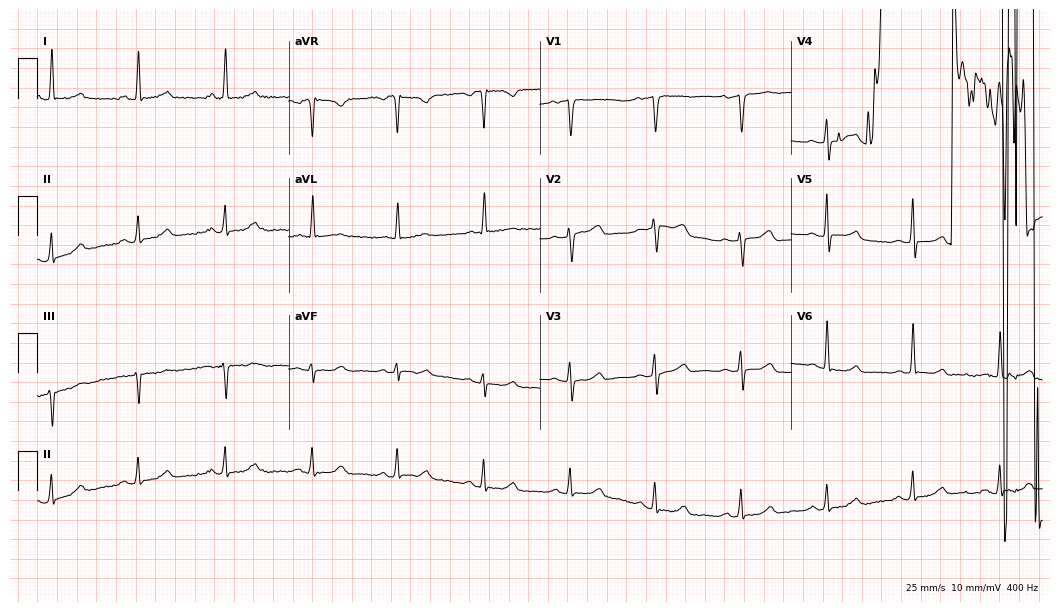
12-lead ECG from a female, 56 years old (10.2-second recording at 400 Hz). No first-degree AV block, right bundle branch block, left bundle branch block, sinus bradycardia, atrial fibrillation or sinus tachycardia recorded for this tracing. Findings outside these six are not listed.